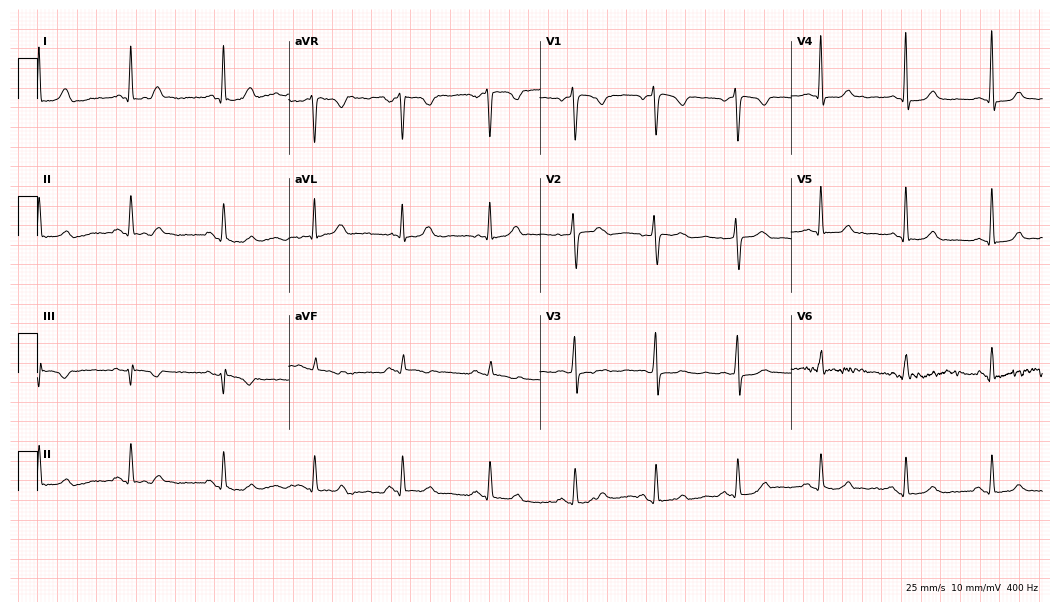
12-lead ECG from a female patient, 43 years old. Labelled as a normal ECG.